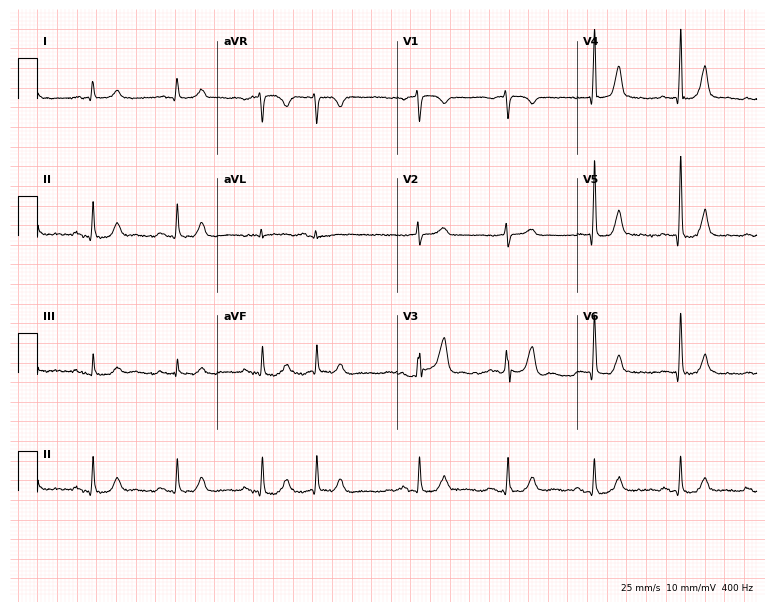
Resting 12-lead electrocardiogram. Patient: a 78-year-old man. None of these six findings is recorded: first-degree AV block, right bundle branch block, left bundle branch block, sinus bradycardia, atrial fibrillation, sinus tachycardia.